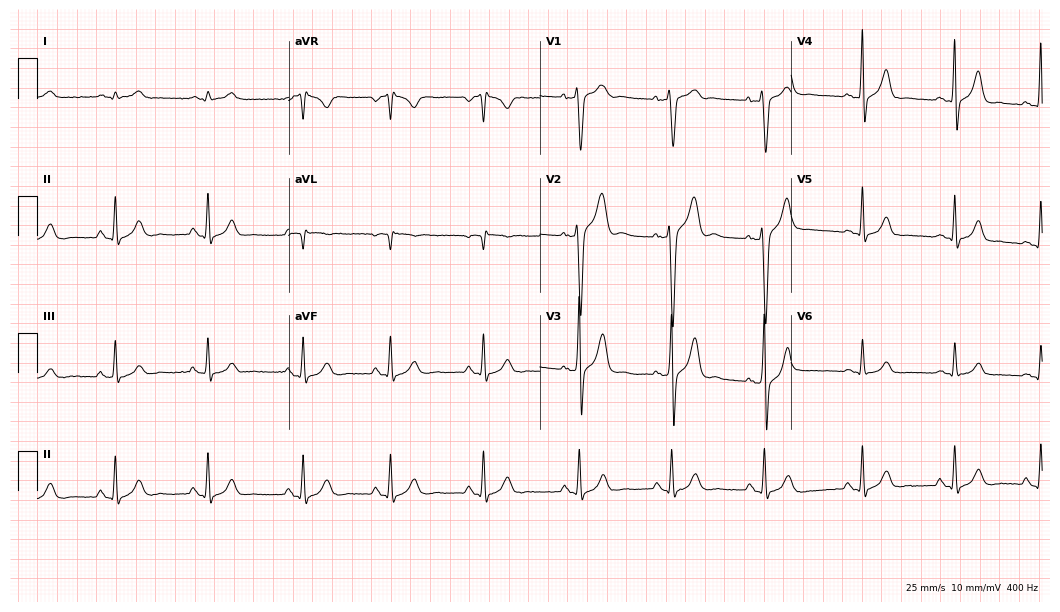
Resting 12-lead electrocardiogram (10.2-second recording at 400 Hz). Patient: a 26-year-old man. None of these six findings is recorded: first-degree AV block, right bundle branch block, left bundle branch block, sinus bradycardia, atrial fibrillation, sinus tachycardia. Other findings, if any, are not listed.